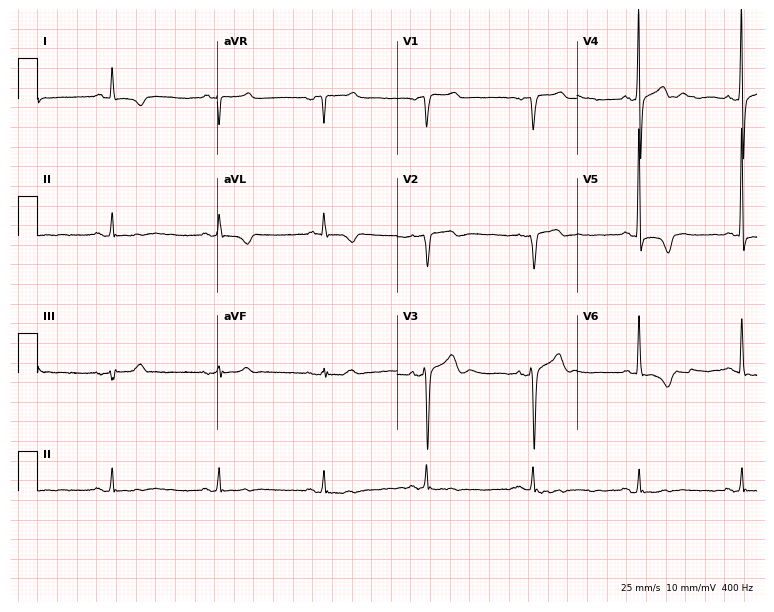
12-lead ECG from a 54-year-old male (7.3-second recording at 400 Hz). No first-degree AV block, right bundle branch block (RBBB), left bundle branch block (LBBB), sinus bradycardia, atrial fibrillation (AF) or sinus tachycardia recorded for this tracing. Other findings, if any, are not listed.